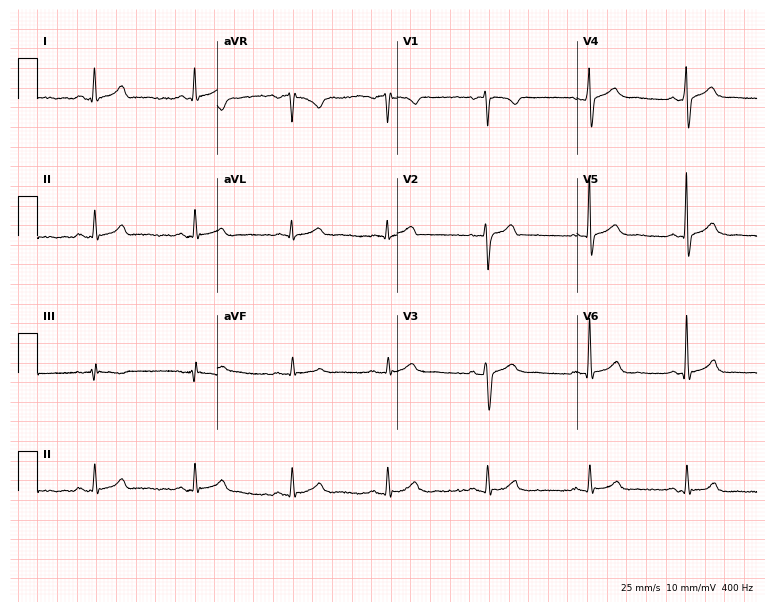
12-lead ECG (7.3-second recording at 400 Hz) from a male, 43 years old. Labelled as a normal ECG.